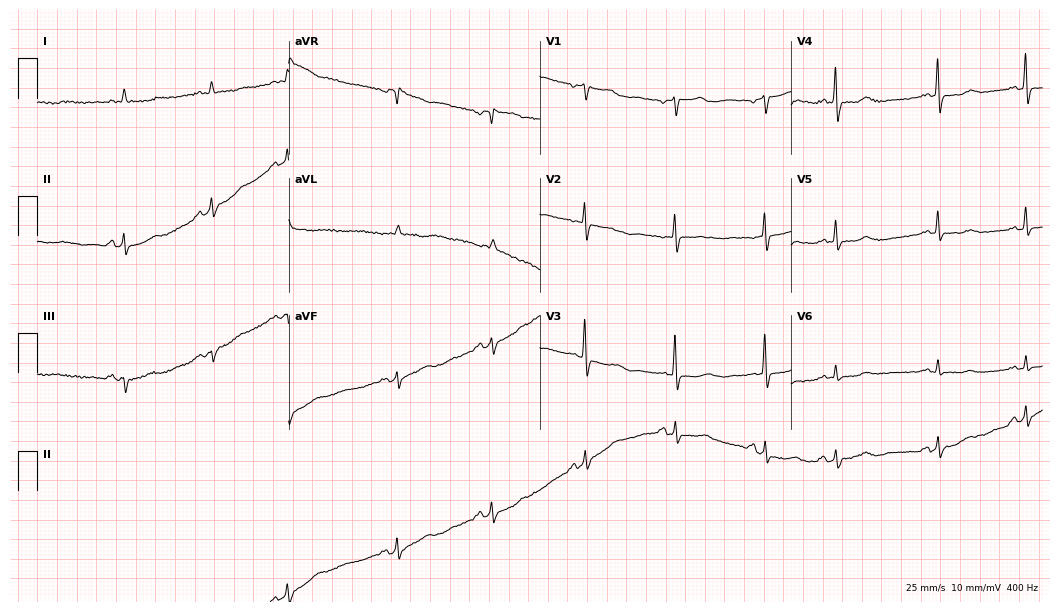
Electrocardiogram, a 76-year-old female. Of the six screened findings (first-degree AV block, right bundle branch block, left bundle branch block, sinus bradycardia, atrial fibrillation, sinus tachycardia), none is recorded. Only these six findings were labelled.